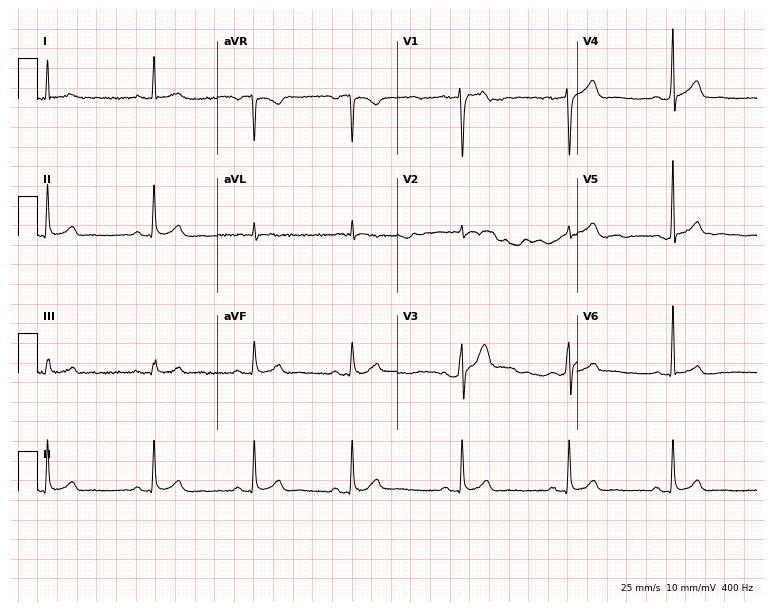
Resting 12-lead electrocardiogram (7.3-second recording at 400 Hz). Patient: a man, 31 years old. Read as a normal ECG.